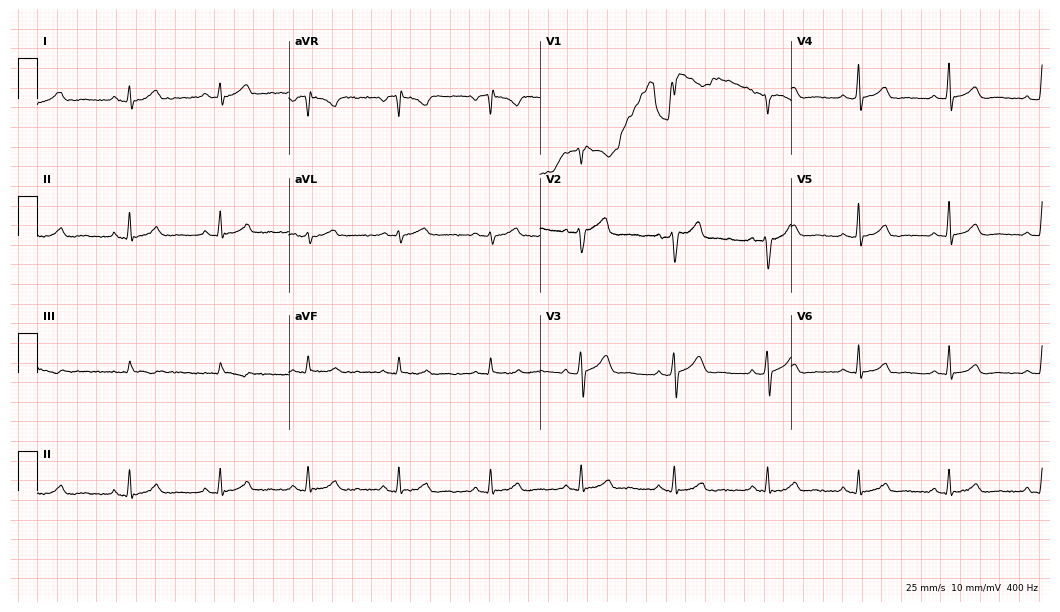
Standard 12-lead ECG recorded from a 42-year-old woman (10.2-second recording at 400 Hz). Read as a normal ECG.